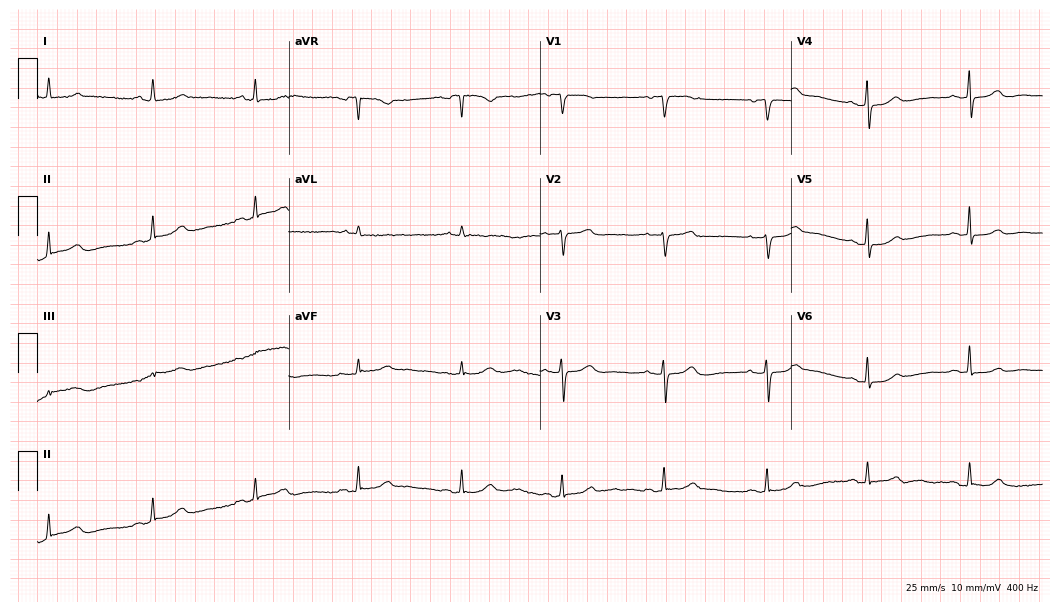
Electrocardiogram (10.2-second recording at 400 Hz), a female, 85 years old. Overall reading on record: normal ECG.